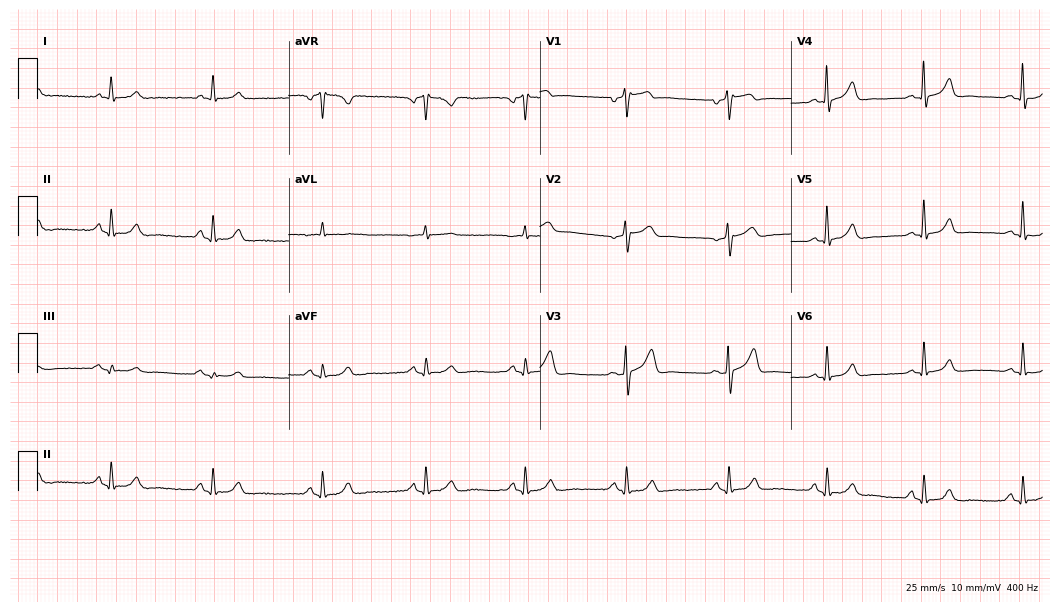
Resting 12-lead electrocardiogram (10.2-second recording at 400 Hz). Patient: a 58-year-old male. Read as a normal ECG.